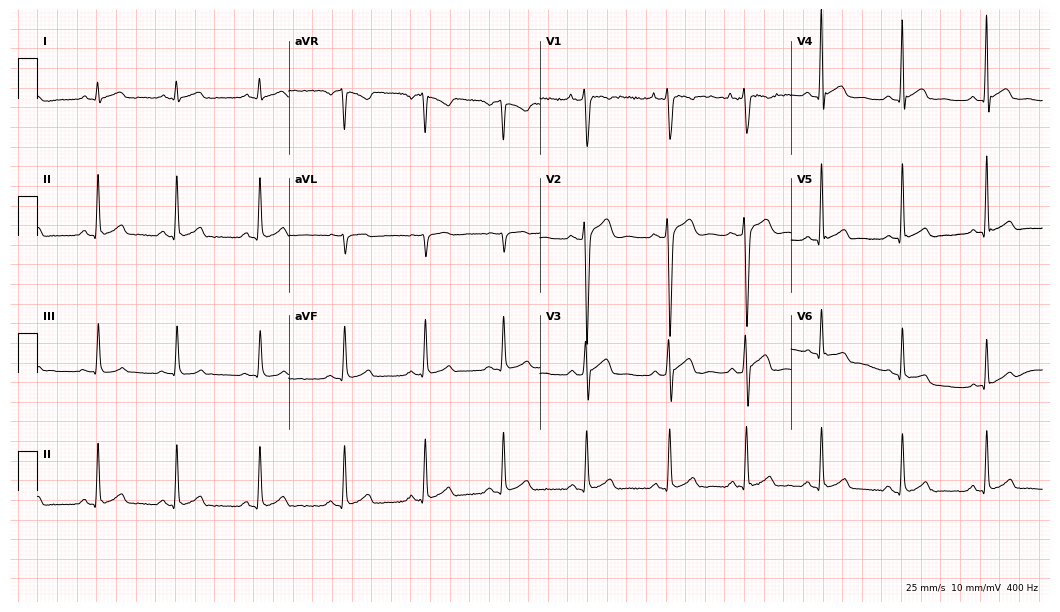
Resting 12-lead electrocardiogram. Patient: an 18-year-old man. Read as a normal ECG.